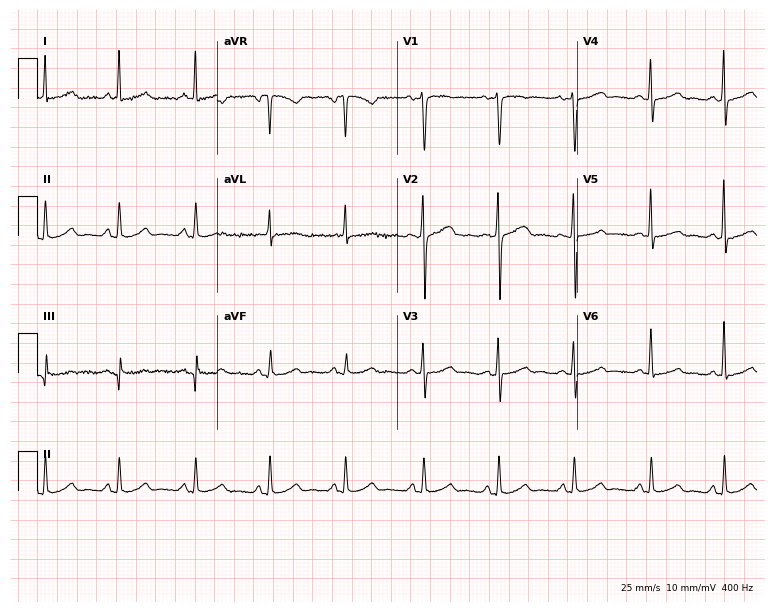
Electrocardiogram (7.3-second recording at 400 Hz), a woman, 49 years old. Of the six screened findings (first-degree AV block, right bundle branch block, left bundle branch block, sinus bradycardia, atrial fibrillation, sinus tachycardia), none is recorded.